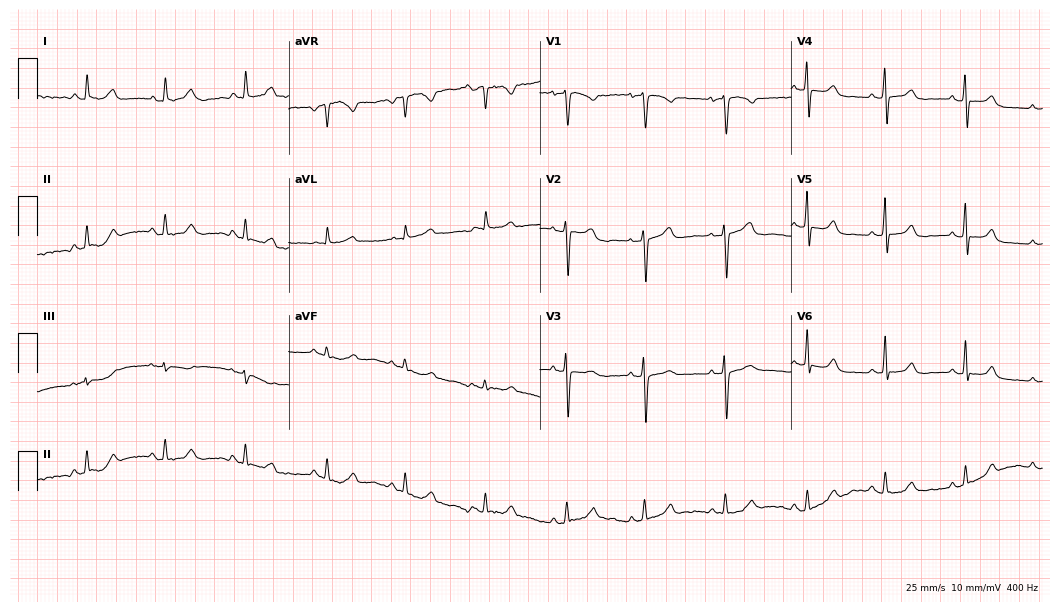
Resting 12-lead electrocardiogram (10.2-second recording at 400 Hz). Patient: a 56-year-old female. Read as a normal ECG.